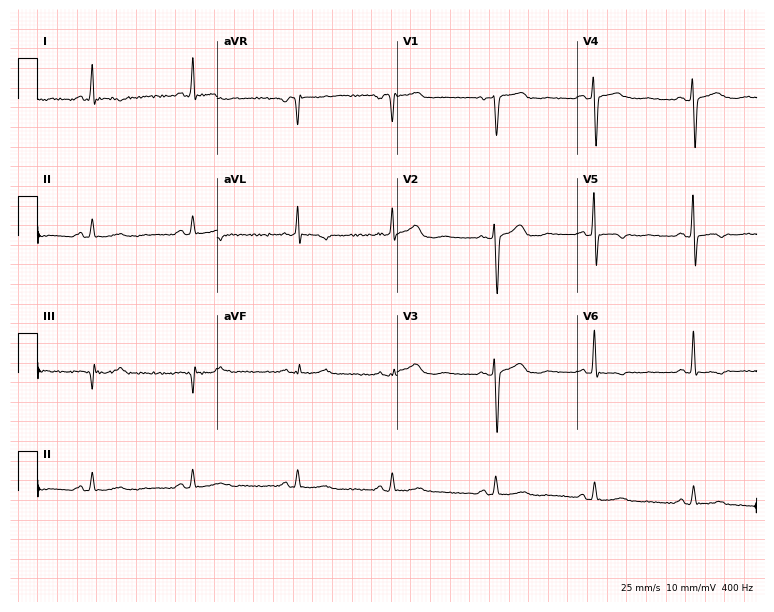
12-lead ECG (7.3-second recording at 400 Hz) from a 54-year-old female patient. Screened for six findings — first-degree AV block, right bundle branch block, left bundle branch block, sinus bradycardia, atrial fibrillation, sinus tachycardia — none is recorded.